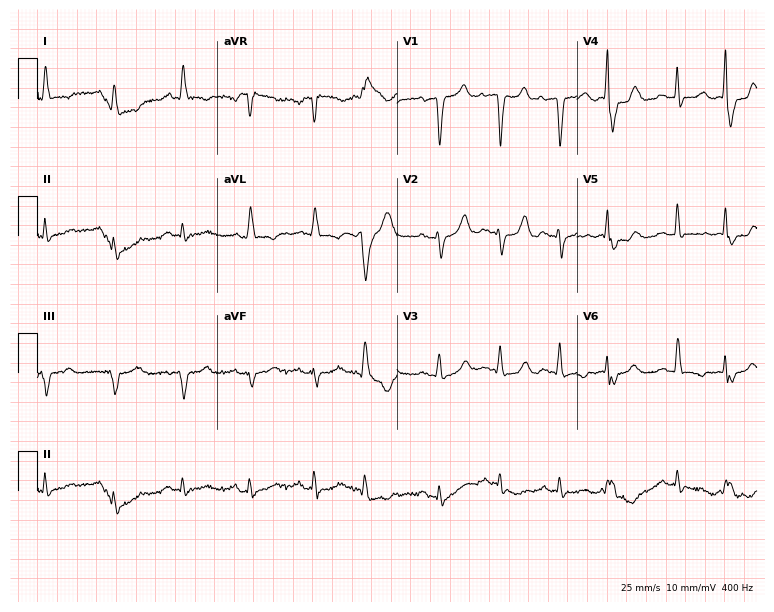
Standard 12-lead ECG recorded from an 81-year-old man. None of these six findings is recorded: first-degree AV block, right bundle branch block, left bundle branch block, sinus bradycardia, atrial fibrillation, sinus tachycardia. Findings outside these six are not listed.